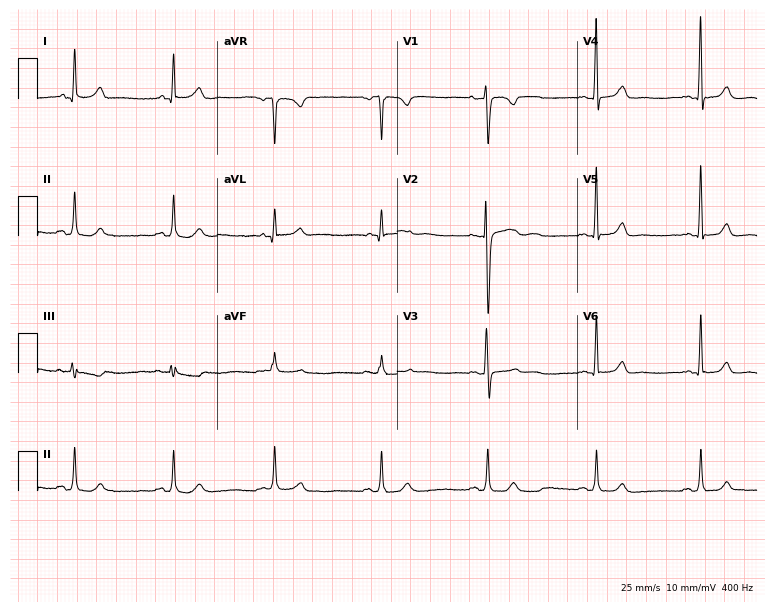
Resting 12-lead electrocardiogram. Patient: a female, 35 years old. None of these six findings is recorded: first-degree AV block, right bundle branch block, left bundle branch block, sinus bradycardia, atrial fibrillation, sinus tachycardia.